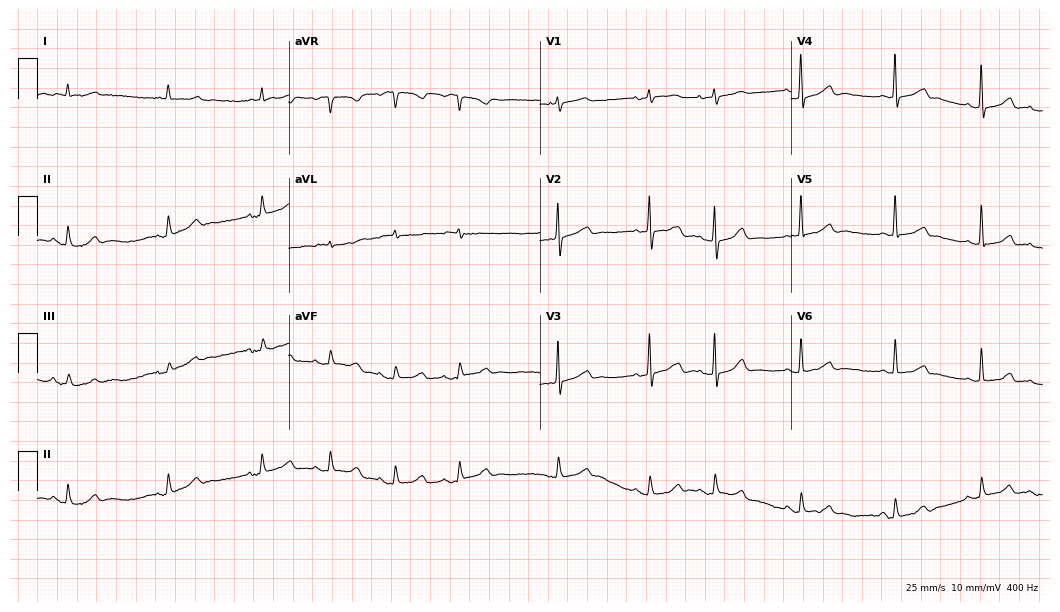
Standard 12-lead ECG recorded from an 80-year-old female patient. None of these six findings is recorded: first-degree AV block, right bundle branch block, left bundle branch block, sinus bradycardia, atrial fibrillation, sinus tachycardia.